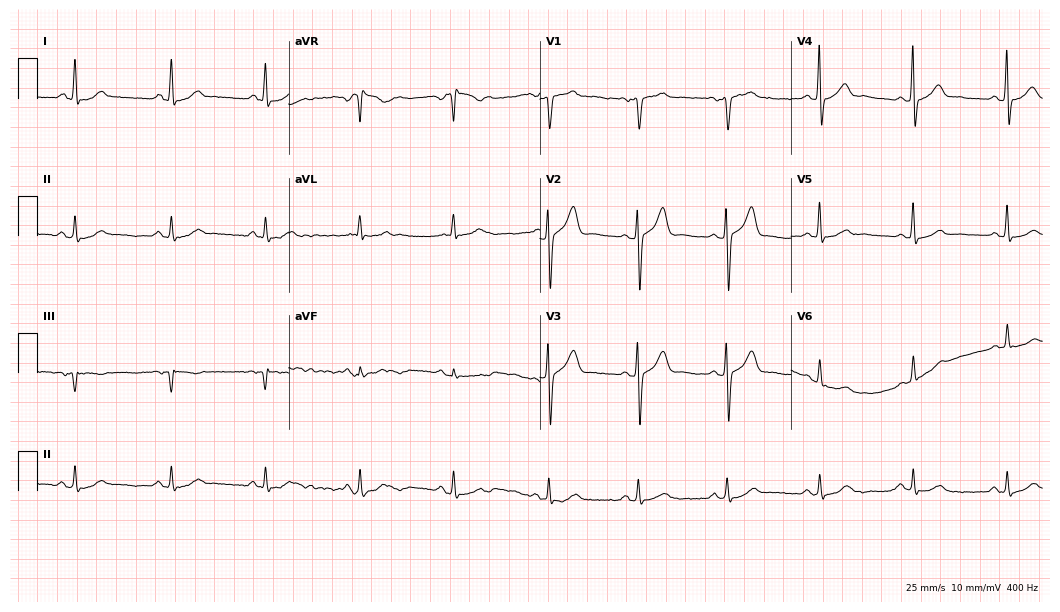
ECG — a man, 59 years old. Labelled as a normal ECG.